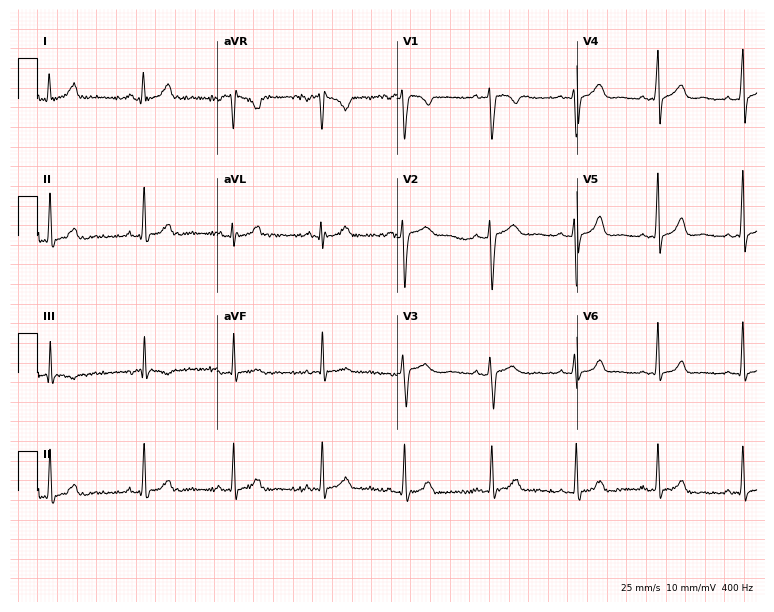
12-lead ECG from a female patient, 34 years old. Labelled as a normal ECG.